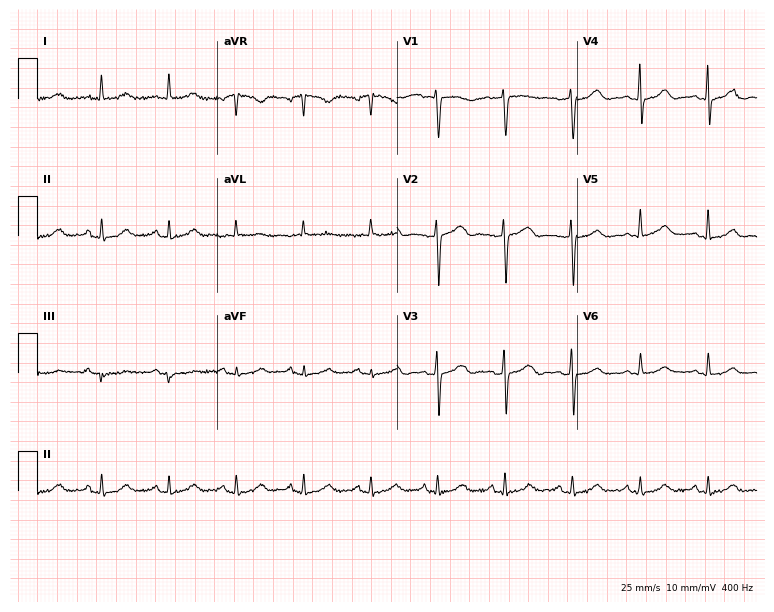
Resting 12-lead electrocardiogram. Patient: a female, 81 years old. None of these six findings is recorded: first-degree AV block, right bundle branch block, left bundle branch block, sinus bradycardia, atrial fibrillation, sinus tachycardia. Only these six findings were labelled.